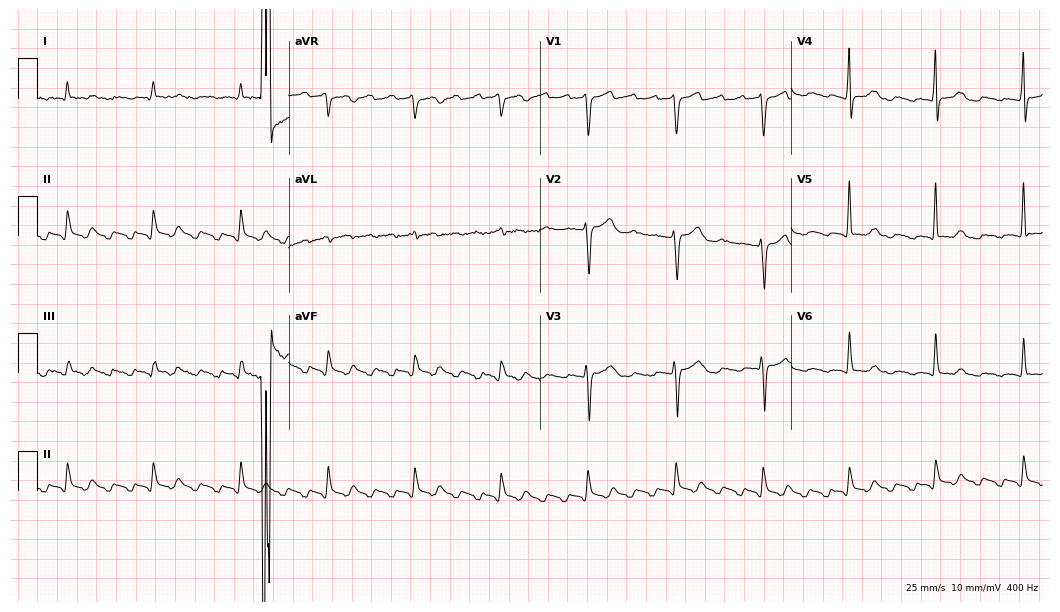
Resting 12-lead electrocardiogram. Patient: a 69-year-old man. The tracing shows first-degree AV block.